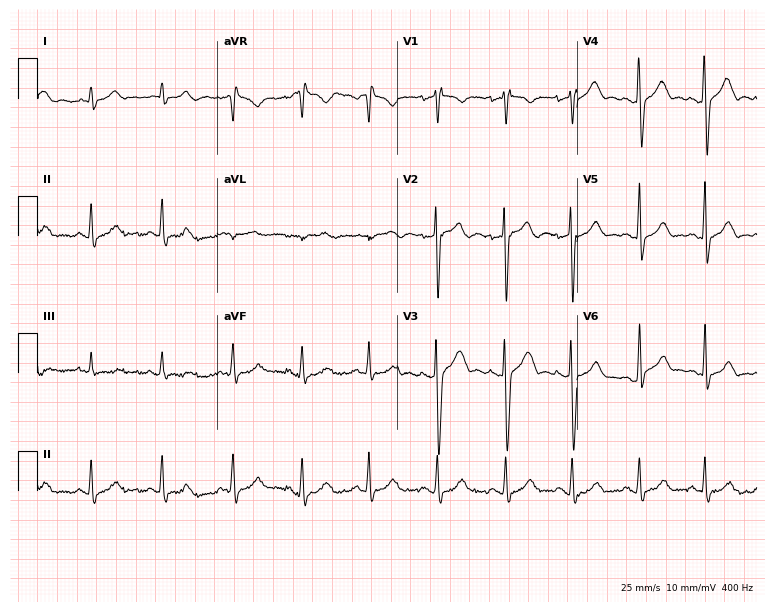
Electrocardiogram (7.3-second recording at 400 Hz), a 24-year-old male. Of the six screened findings (first-degree AV block, right bundle branch block, left bundle branch block, sinus bradycardia, atrial fibrillation, sinus tachycardia), none is recorded.